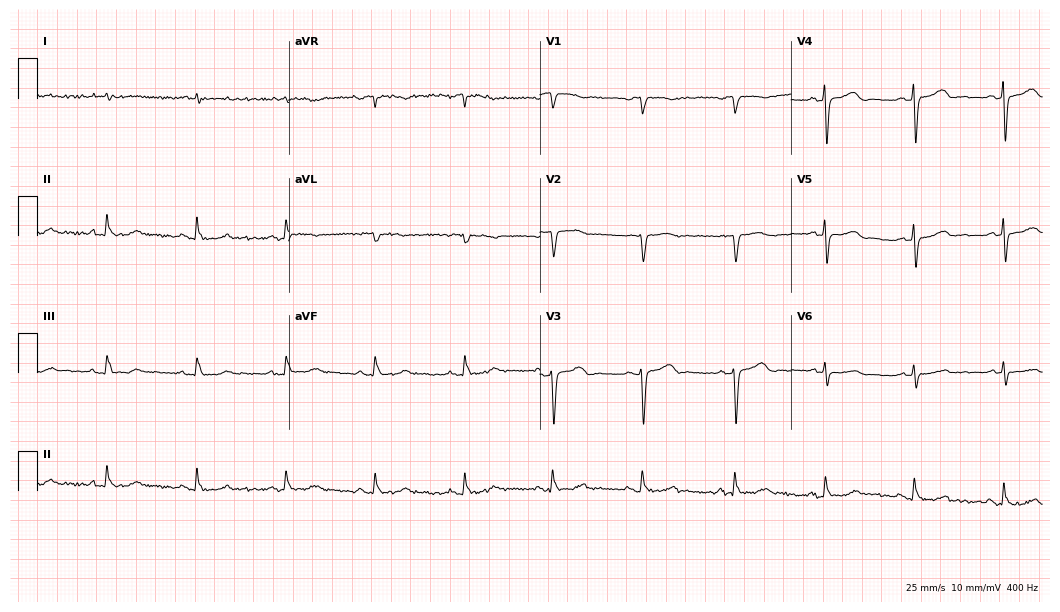
Resting 12-lead electrocardiogram (10.2-second recording at 400 Hz). Patient: an 83-year-old male. None of these six findings is recorded: first-degree AV block, right bundle branch block, left bundle branch block, sinus bradycardia, atrial fibrillation, sinus tachycardia.